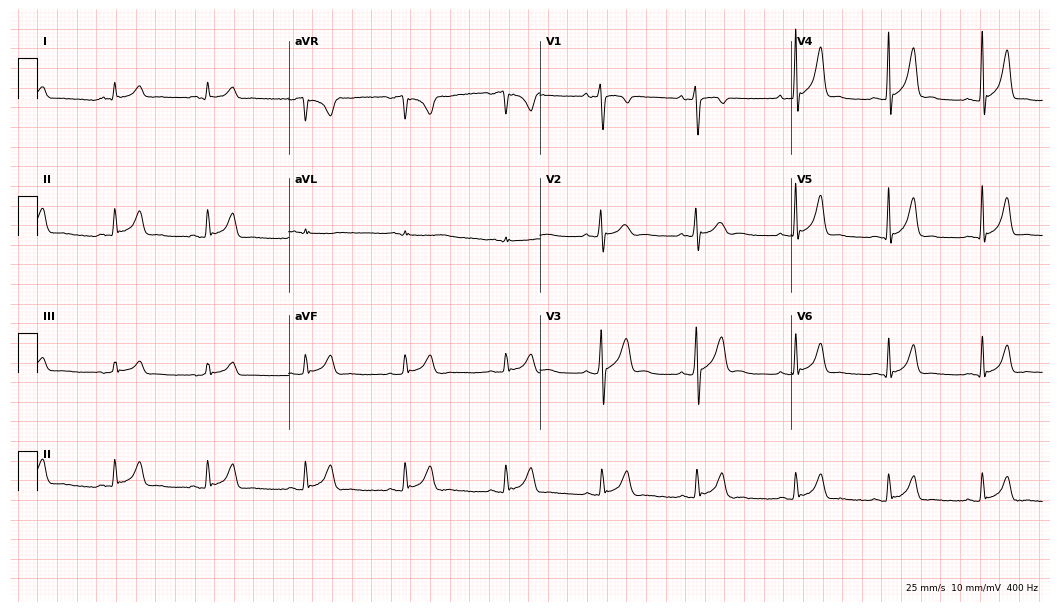
Standard 12-lead ECG recorded from a man, 20 years old (10.2-second recording at 400 Hz). None of these six findings is recorded: first-degree AV block, right bundle branch block (RBBB), left bundle branch block (LBBB), sinus bradycardia, atrial fibrillation (AF), sinus tachycardia. Only these six findings were labelled.